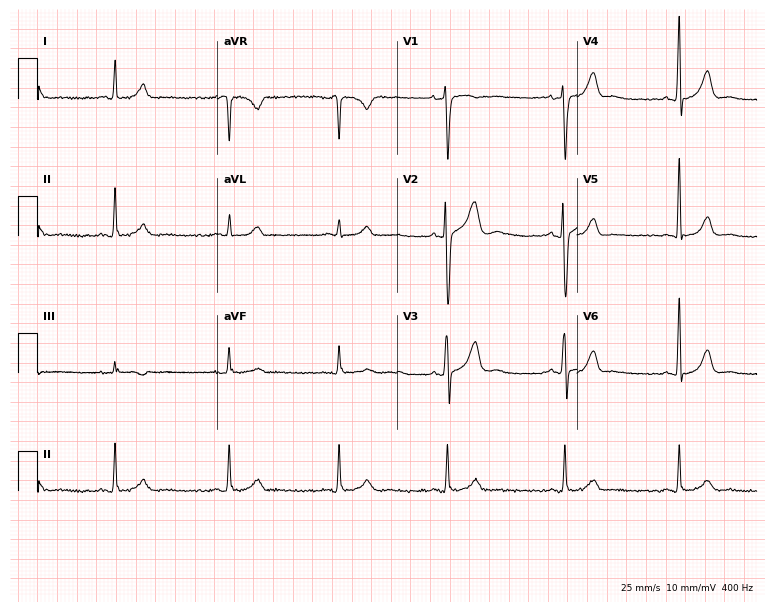
Standard 12-lead ECG recorded from a 38-year-old male patient (7.3-second recording at 400 Hz). None of these six findings is recorded: first-degree AV block, right bundle branch block, left bundle branch block, sinus bradycardia, atrial fibrillation, sinus tachycardia.